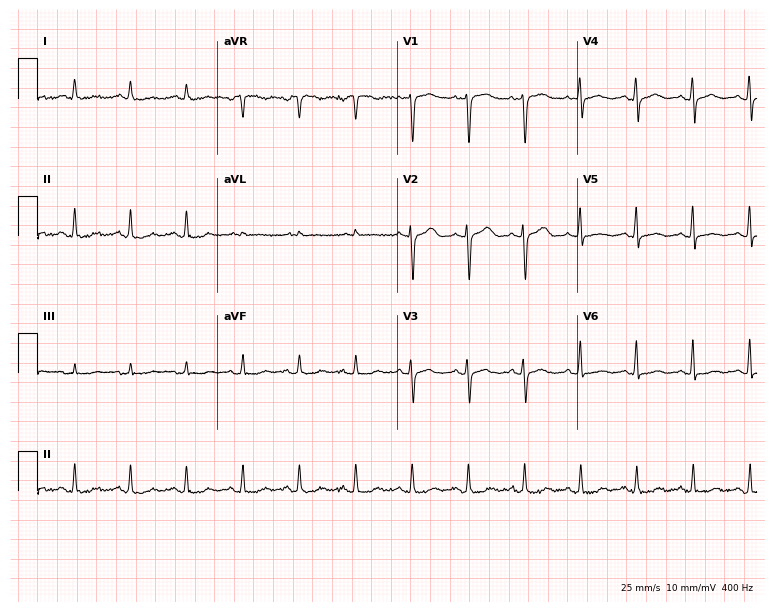
Electrocardiogram, a woman, 49 years old. Interpretation includes sinus tachycardia (a sinus rate of 100 beats per minute or more).